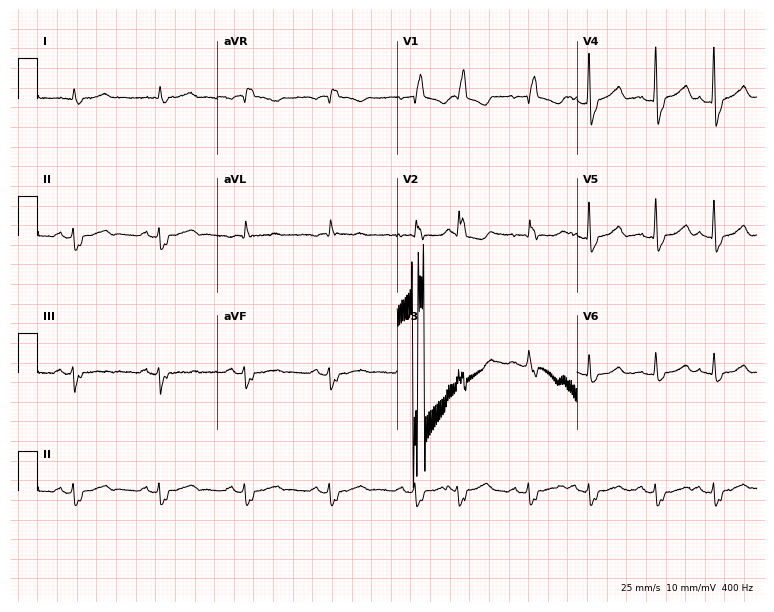
ECG (7.3-second recording at 400 Hz) — a female patient, 80 years old. Findings include right bundle branch block (RBBB).